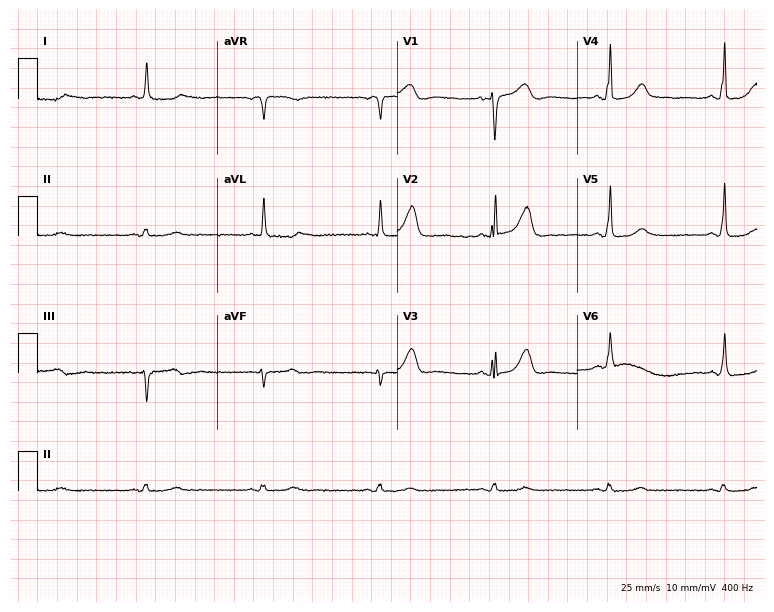
Resting 12-lead electrocardiogram. Patient: a female, 76 years old. None of these six findings is recorded: first-degree AV block, right bundle branch block, left bundle branch block, sinus bradycardia, atrial fibrillation, sinus tachycardia.